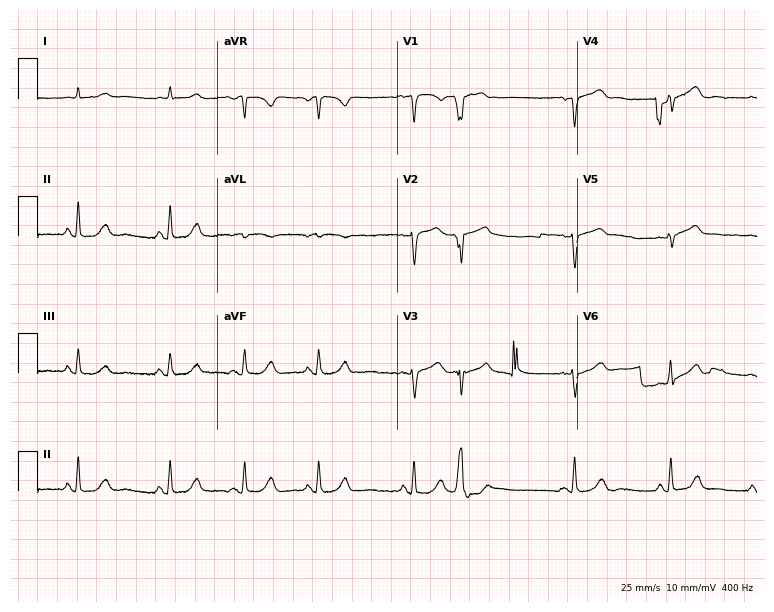
12-lead ECG from a male patient, 75 years old. Screened for six findings — first-degree AV block, right bundle branch block (RBBB), left bundle branch block (LBBB), sinus bradycardia, atrial fibrillation (AF), sinus tachycardia — none is recorded. Only these six findings were labelled.